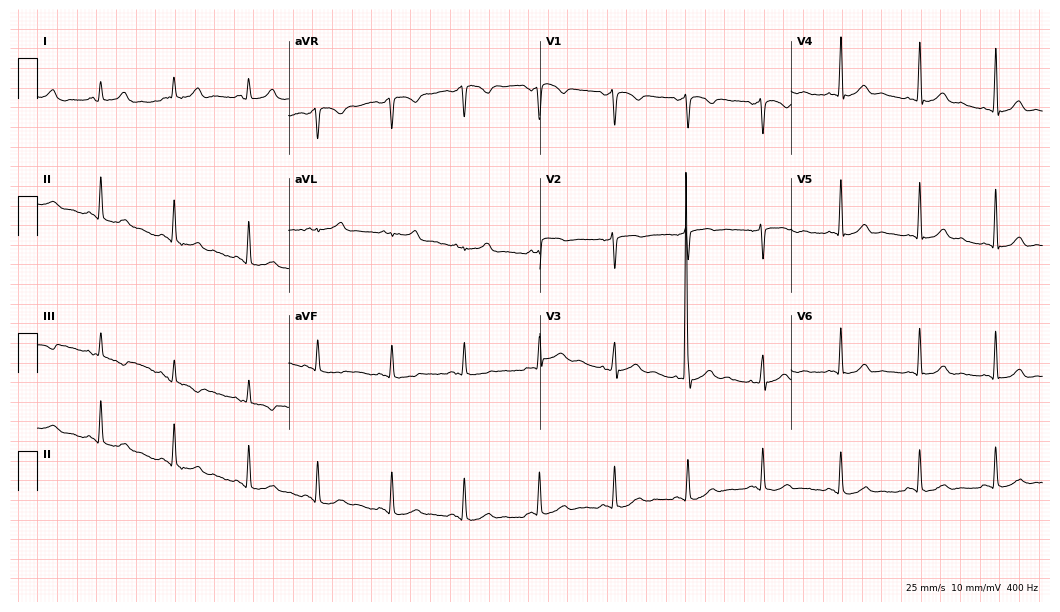
Electrocardiogram (10.2-second recording at 400 Hz), a 39-year-old woman. Of the six screened findings (first-degree AV block, right bundle branch block (RBBB), left bundle branch block (LBBB), sinus bradycardia, atrial fibrillation (AF), sinus tachycardia), none is recorded.